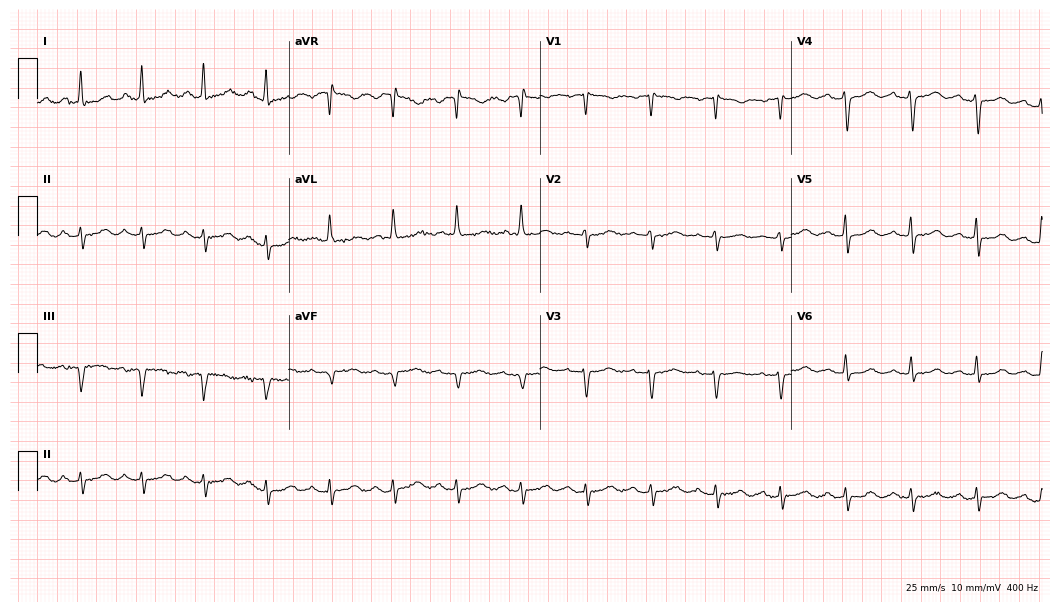
12-lead ECG from a female patient, 80 years old (10.2-second recording at 400 Hz). No first-degree AV block, right bundle branch block (RBBB), left bundle branch block (LBBB), sinus bradycardia, atrial fibrillation (AF) or sinus tachycardia recorded for this tracing. Only these six findings were labelled.